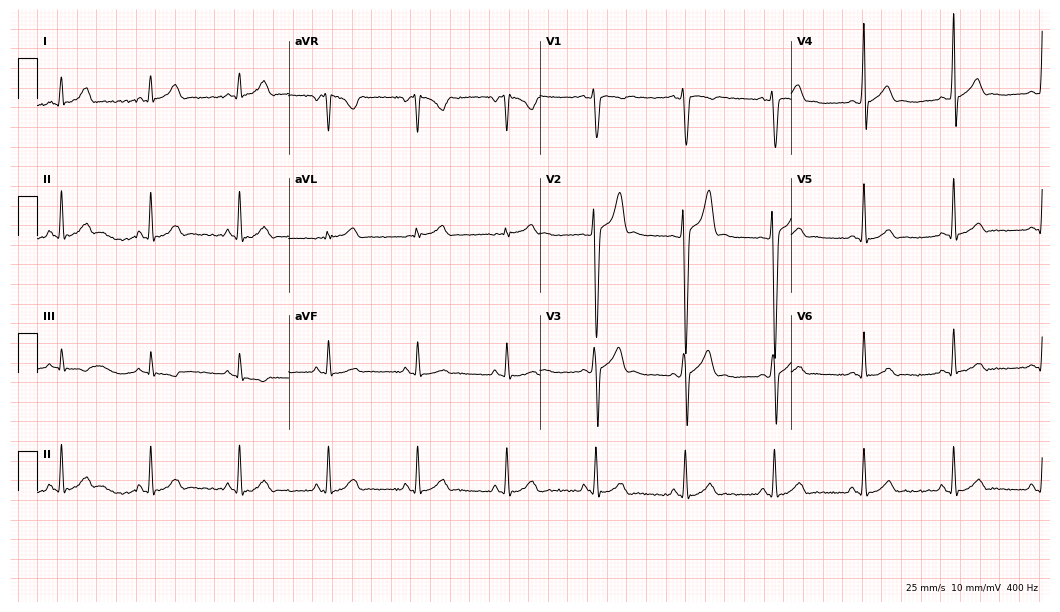
Resting 12-lead electrocardiogram (10.2-second recording at 400 Hz). Patient: a 21-year-old male. Read as a normal ECG.